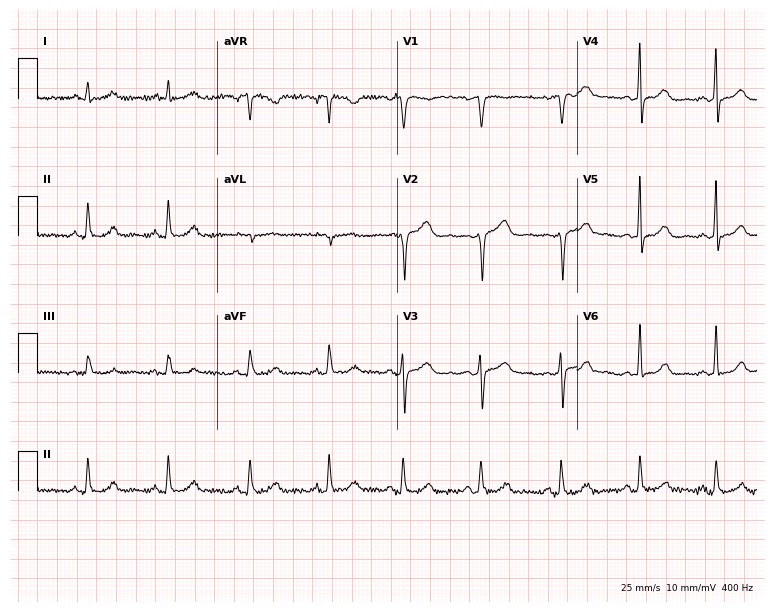
Resting 12-lead electrocardiogram (7.3-second recording at 400 Hz). Patient: a 38-year-old female. None of these six findings is recorded: first-degree AV block, right bundle branch block, left bundle branch block, sinus bradycardia, atrial fibrillation, sinus tachycardia. Only these six findings were labelled.